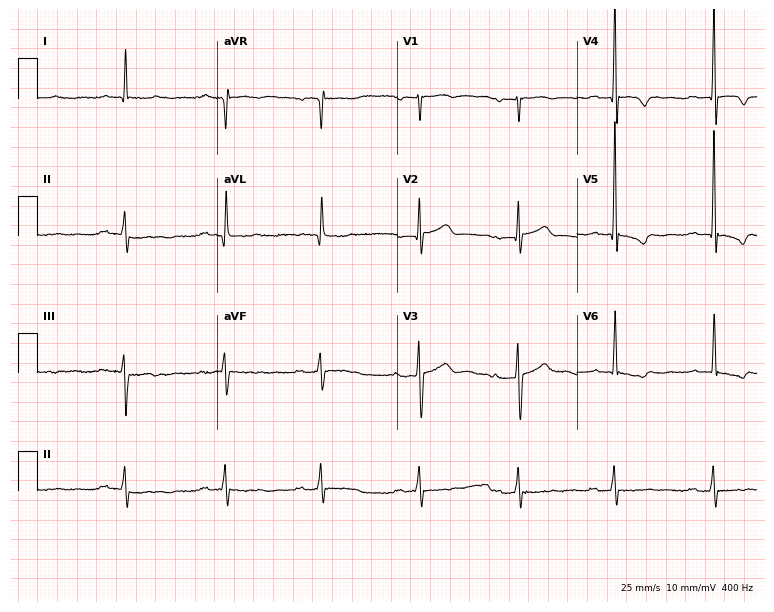
Standard 12-lead ECG recorded from a male patient, 71 years old. None of these six findings is recorded: first-degree AV block, right bundle branch block, left bundle branch block, sinus bradycardia, atrial fibrillation, sinus tachycardia.